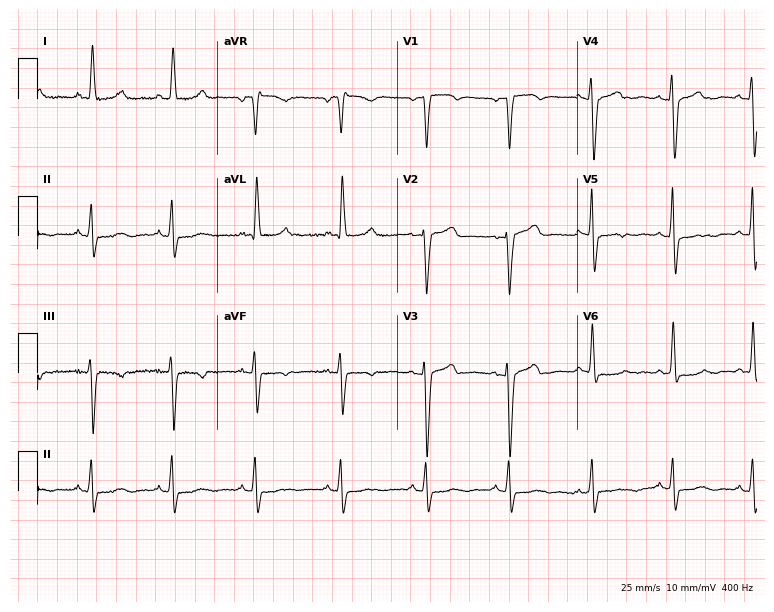
Standard 12-lead ECG recorded from a woman, 67 years old (7.3-second recording at 400 Hz). None of these six findings is recorded: first-degree AV block, right bundle branch block, left bundle branch block, sinus bradycardia, atrial fibrillation, sinus tachycardia.